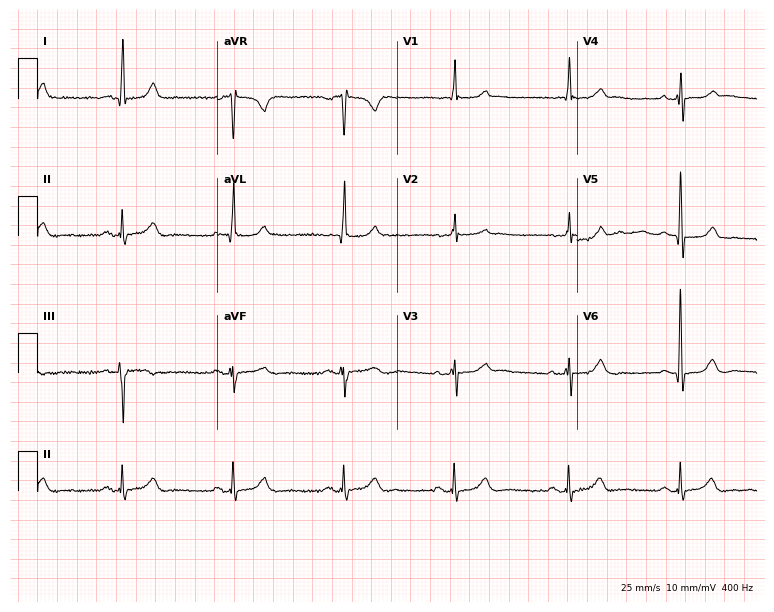
Resting 12-lead electrocardiogram (7.3-second recording at 400 Hz). Patient: a female, 76 years old. None of these six findings is recorded: first-degree AV block, right bundle branch block (RBBB), left bundle branch block (LBBB), sinus bradycardia, atrial fibrillation (AF), sinus tachycardia. Only these six findings were labelled.